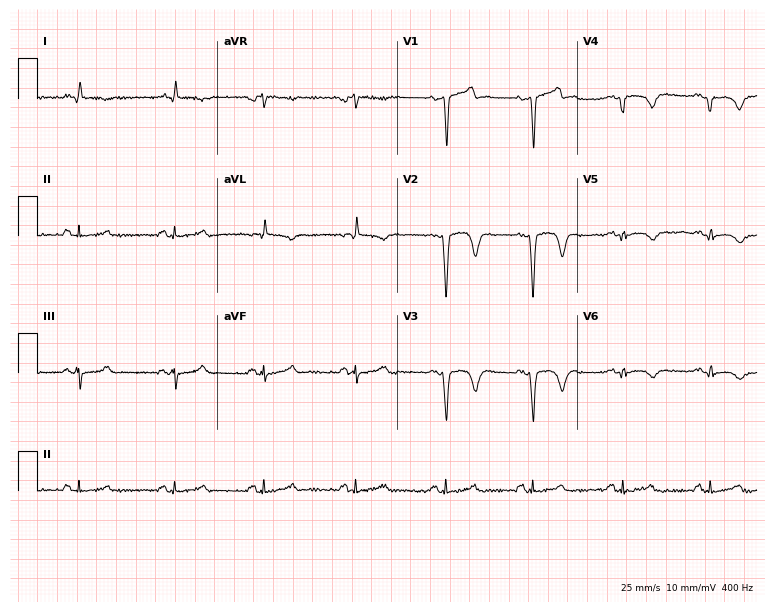
12-lead ECG from a 45-year-old male (7.3-second recording at 400 Hz). No first-degree AV block, right bundle branch block, left bundle branch block, sinus bradycardia, atrial fibrillation or sinus tachycardia recorded for this tracing.